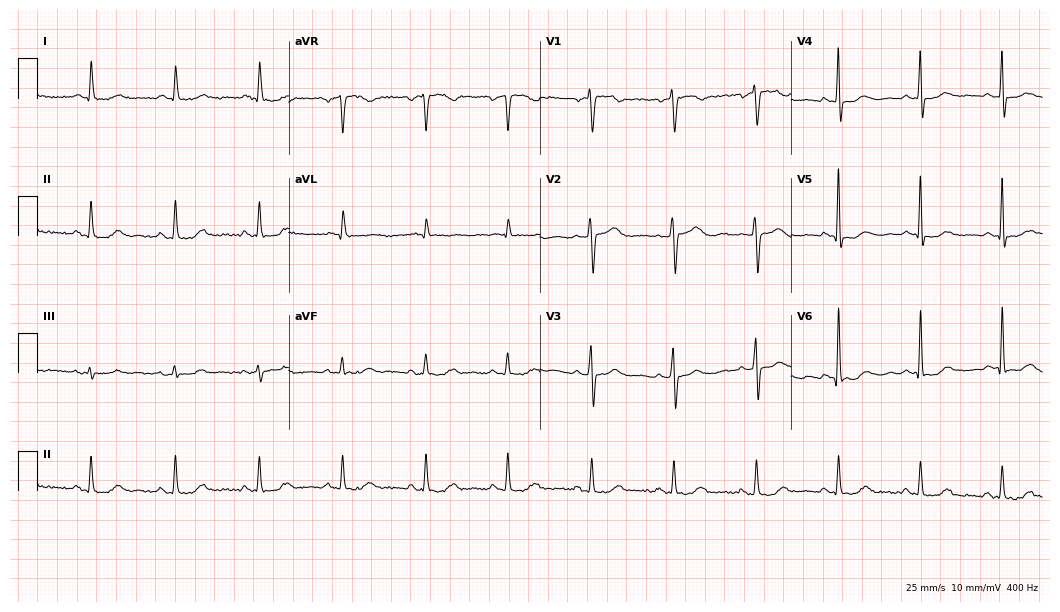
Electrocardiogram, a female patient, 74 years old. Of the six screened findings (first-degree AV block, right bundle branch block, left bundle branch block, sinus bradycardia, atrial fibrillation, sinus tachycardia), none is recorded.